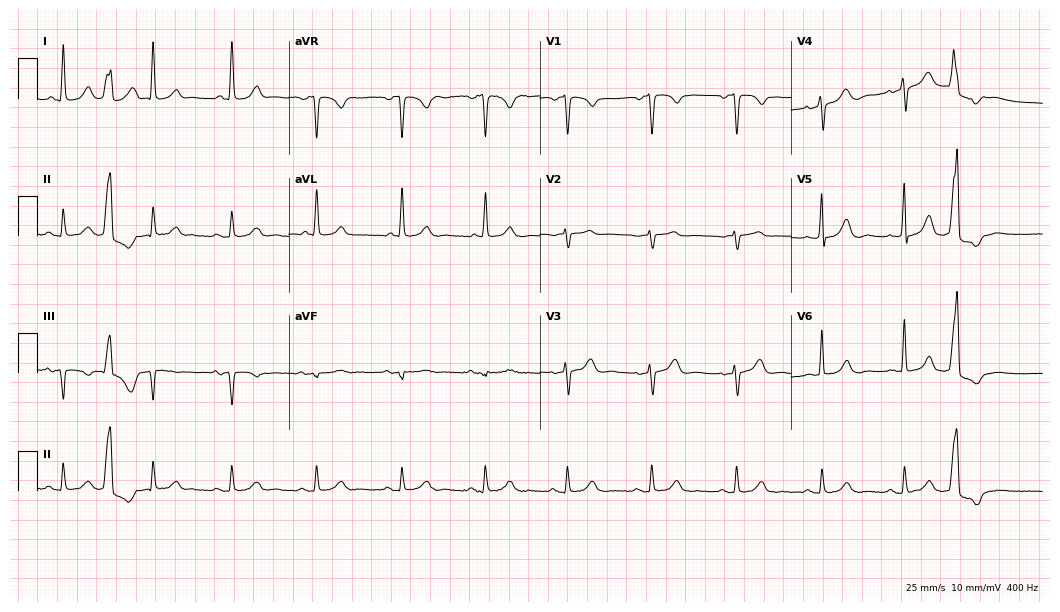
Standard 12-lead ECG recorded from a female, 77 years old. None of these six findings is recorded: first-degree AV block, right bundle branch block (RBBB), left bundle branch block (LBBB), sinus bradycardia, atrial fibrillation (AF), sinus tachycardia. Only these six findings were labelled.